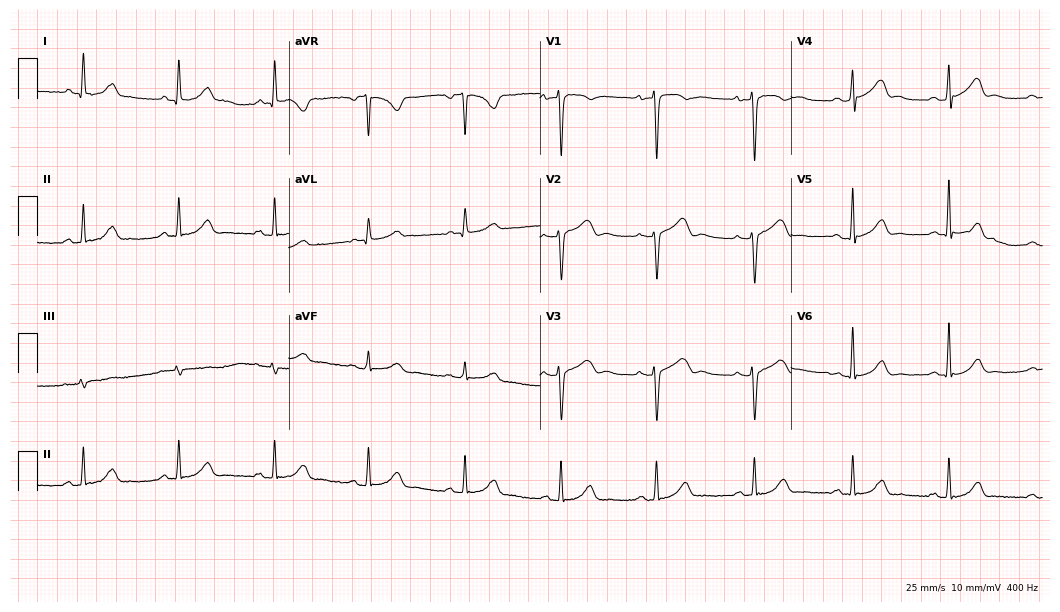
12-lead ECG (10.2-second recording at 400 Hz) from a 43-year-old female. Labelled as a normal ECG.